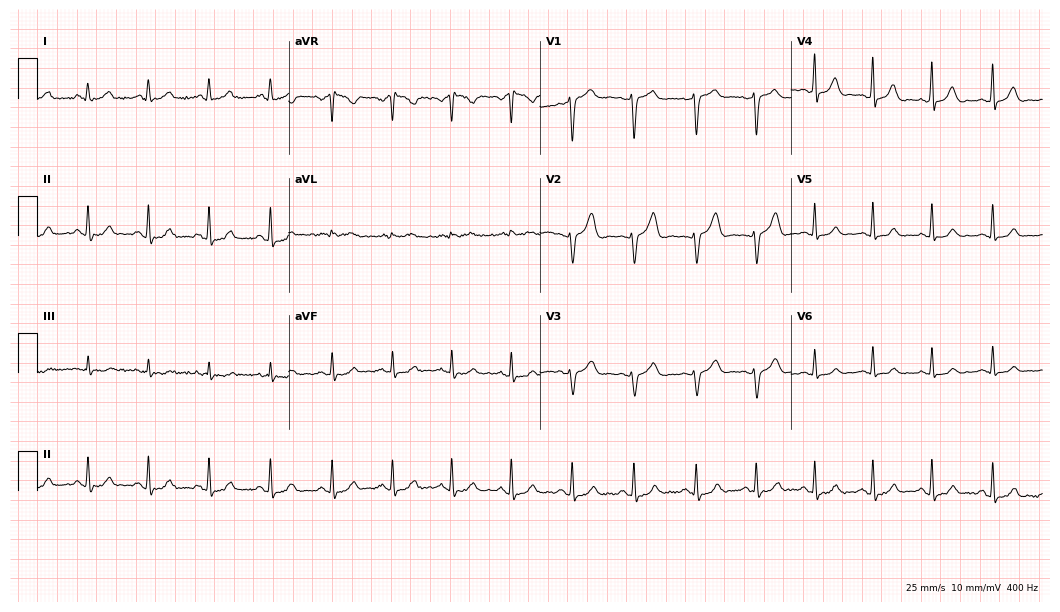
Resting 12-lead electrocardiogram (10.2-second recording at 400 Hz). Patient: a 30-year-old woman. Read as a normal ECG.